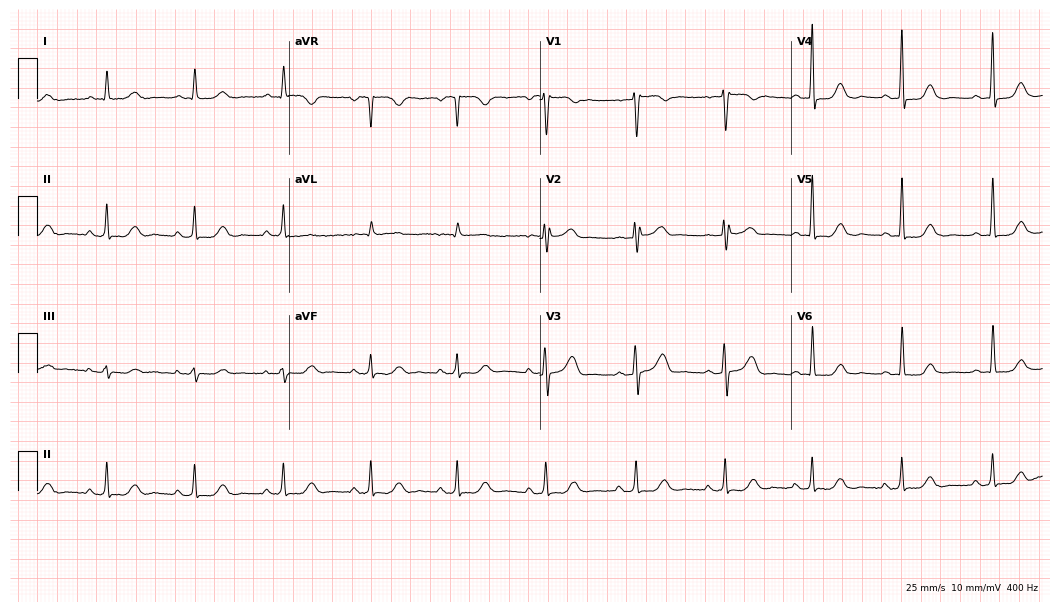
12-lead ECG (10.2-second recording at 400 Hz) from a 54-year-old female. Screened for six findings — first-degree AV block, right bundle branch block, left bundle branch block, sinus bradycardia, atrial fibrillation, sinus tachycardia — none is recorded. Other findings, if any, are not listed.